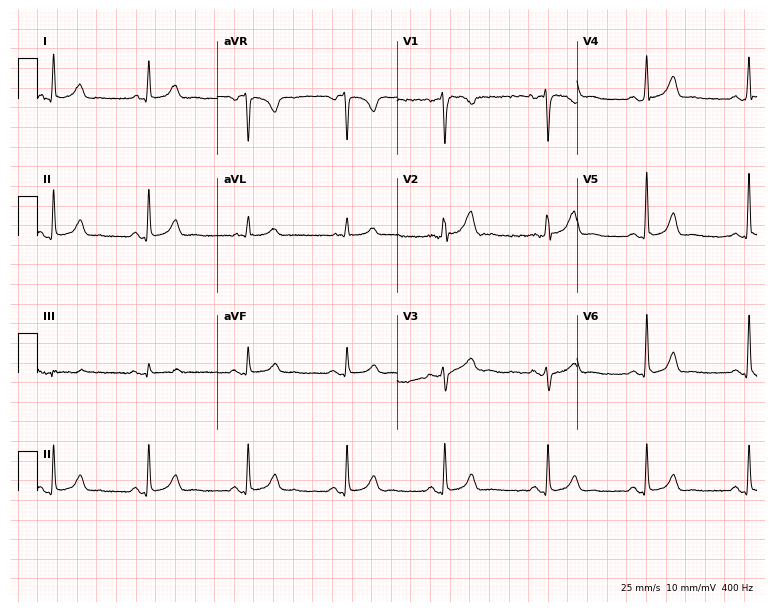
12-lead ECG from a female, 32 years old. Labelled as a normal ECG.